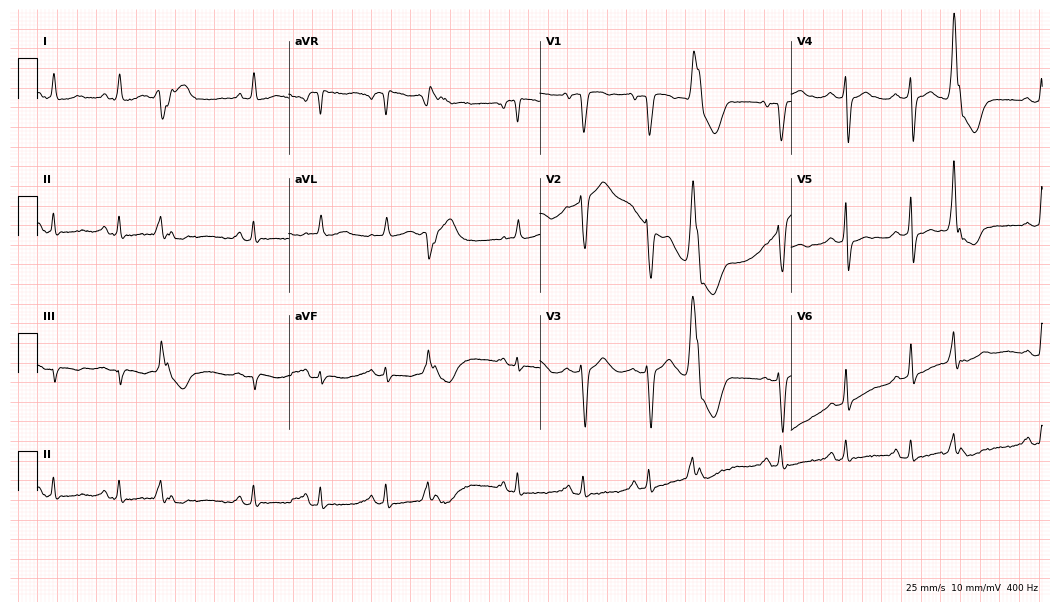
12-lead ECG from a woman, 68 years old. No first-degree AV block, right bundle branch block, left bundle branch block, sinus bradycardia, atrial fibrillation or sinus tachycardia recorded for this tracing. Other findings, if any, are not listed.